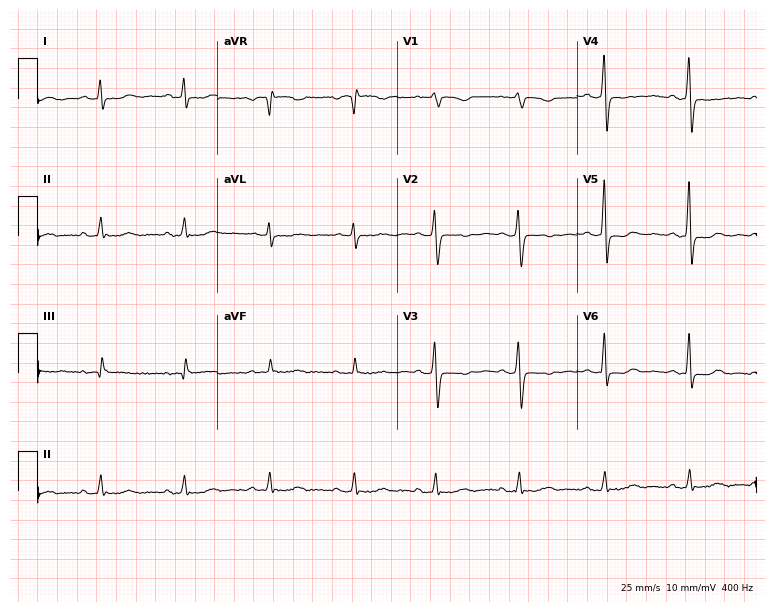
ECG (7.3-second recording at 400 Hz) — a 62-year-old woman. Screened for six findings — first-degree AV block, right bundle branch block, left bundle branch block, sinus bradycardia, atrial fibrillation, sinus tachycardia — none is recorded.